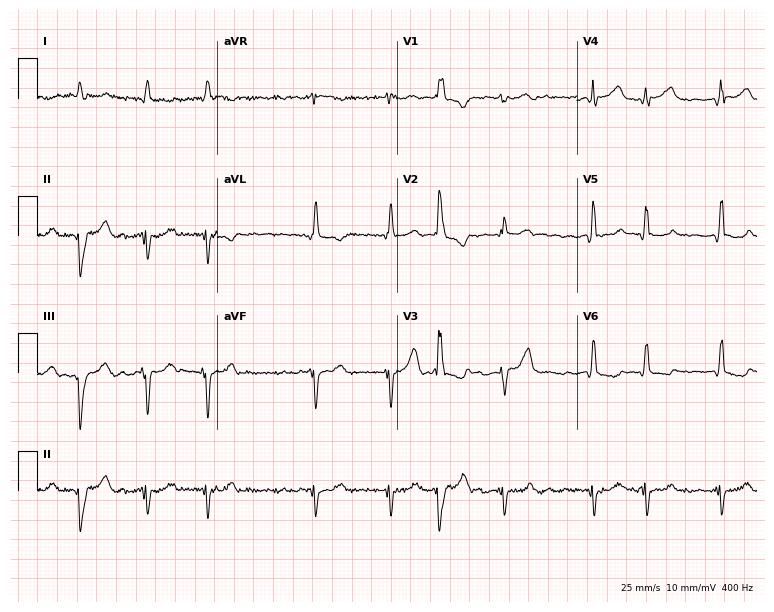
ECG (7.3-second recording at 400 Hz) — an 84-year-old male patient. Findings include atrial fibrillation.